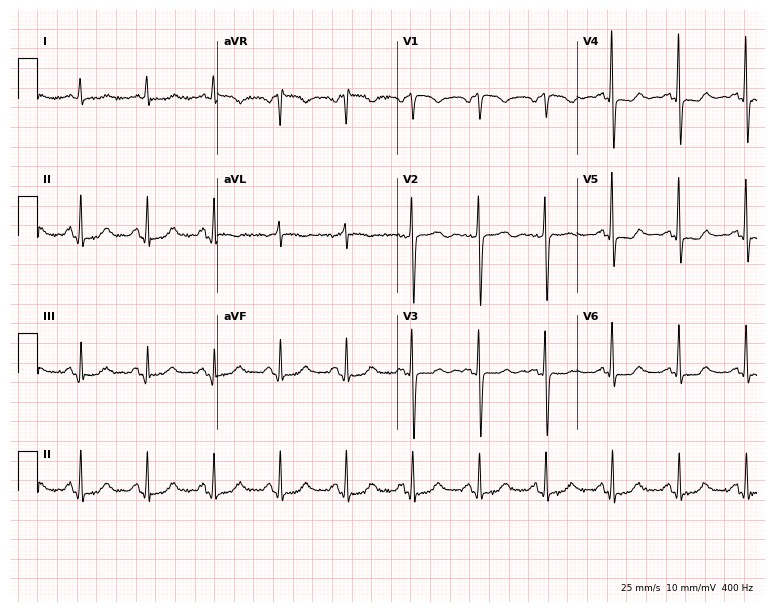
Resting 12-lead electrocardiogram. Patient: a female, 79 years old. None of these six findings is recorded: first-degree AV block, right bundle branch block, left bundle branch block, sinus bradycardia, atrial fibrillation, sinus tachycardia. Only these six findings were labelled.